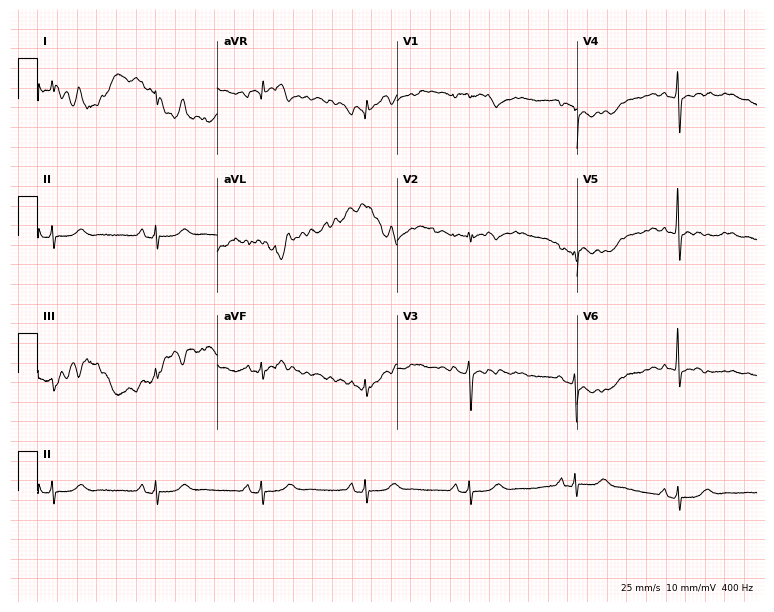
Electrocardiogram (7.3-second recording at 400 Hz), a 72-year-old female. Of the six screened findings (first-degree AV block, right bundle branch block, left bundle branch block, sinus bradycardia, atrial fibrillation, sinus tachycardia), none is recorded.